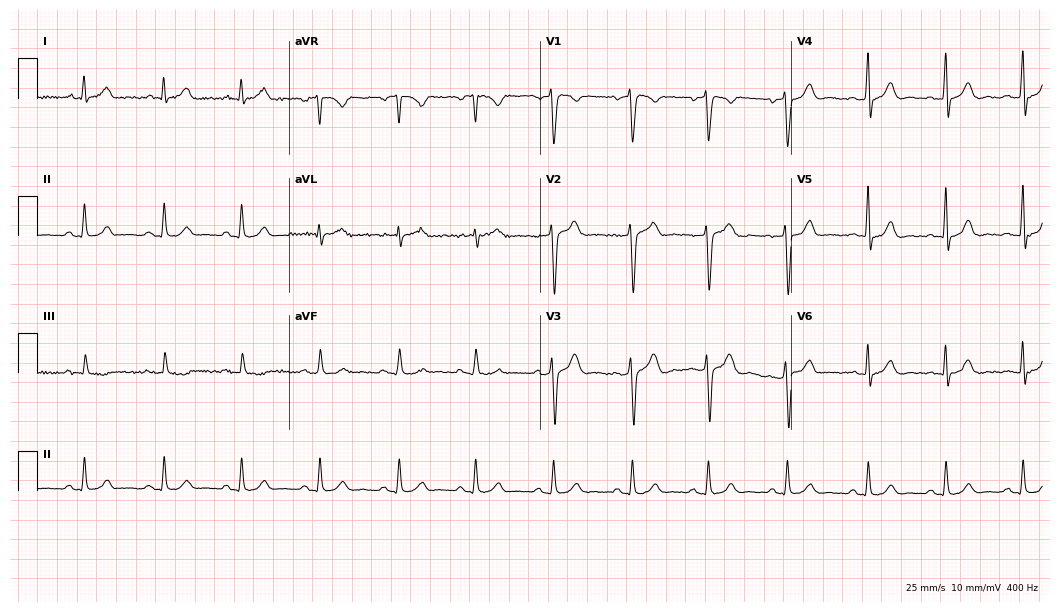
12-lead ECG from a man, 37 years old. Recorded interpretation: within normal limits.